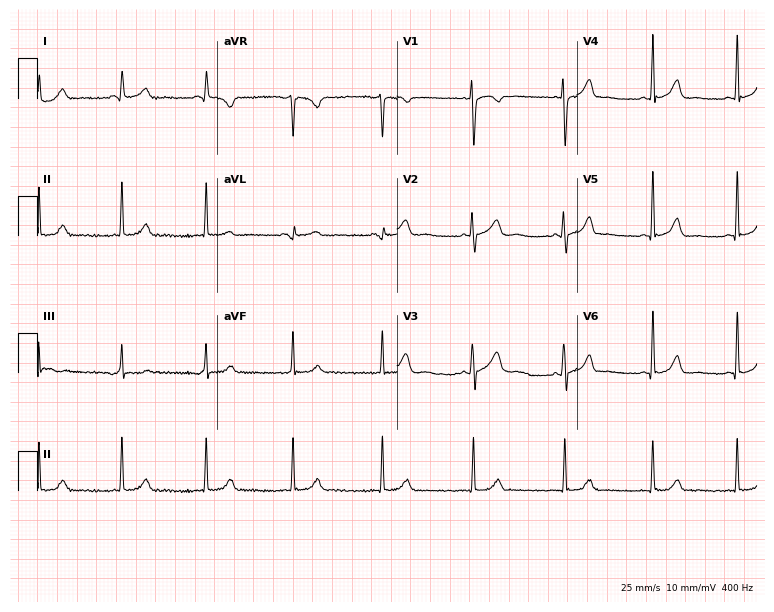
12-lead ECG from a female, 20 years old. No first-degree AV block, right bundle branch block (RBBB), left bundle branch block (LBBB), sinus bradycardia, atrial fibrillation (AF) or sinus tachycardia recorded for this tracing.